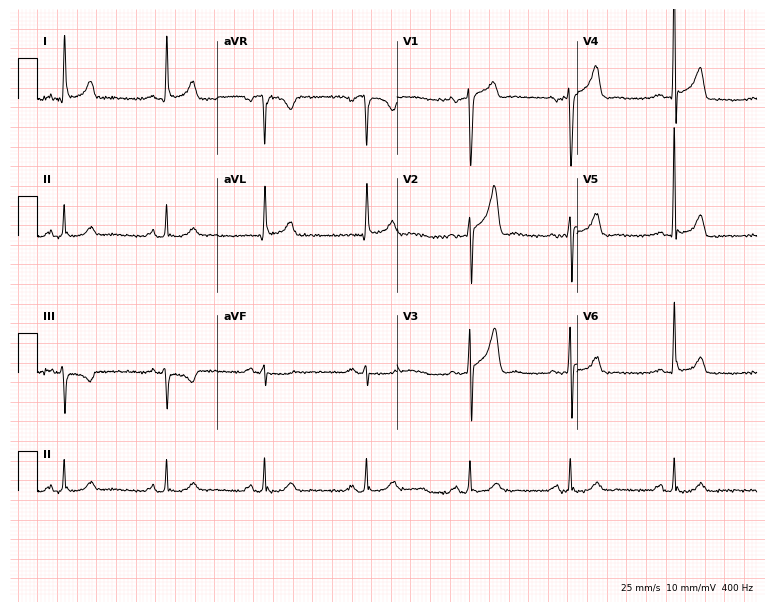
12-lead ECG from a male, 51 years old (7.3-second recording at 400 Hz). No first-degree AV block, right bundle branch block, left bundle branch block, sinus bradycardia, atrial fibrillation or sinus tachycardia recorded for this tracing.